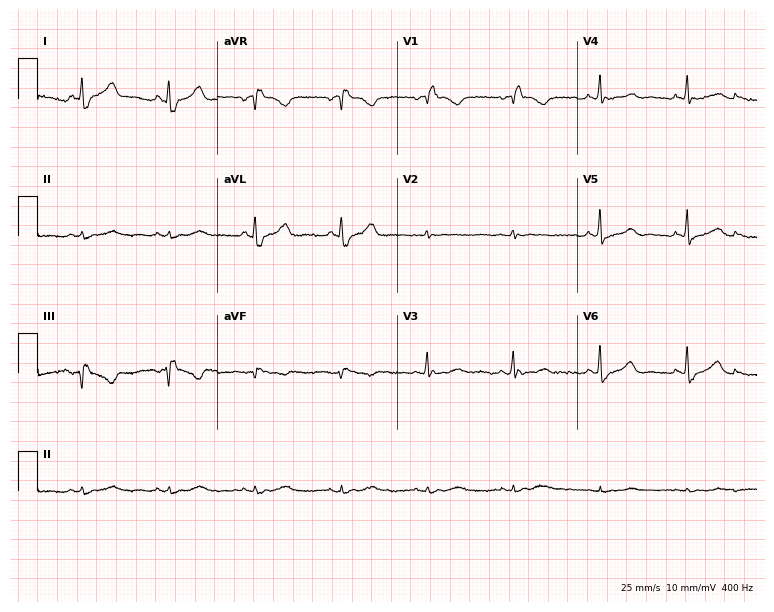
12-lead ECG from a 74-year-old female. Findings include right bundle branch block.